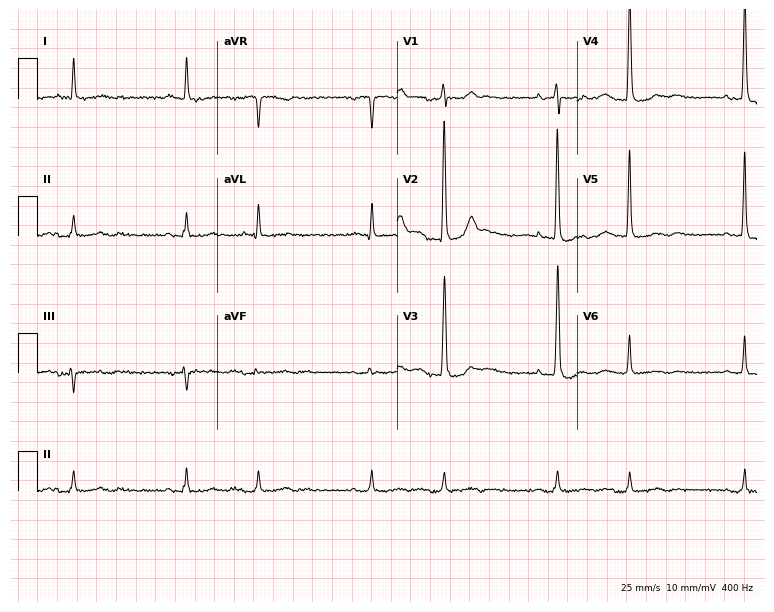
12-lead ECG from a man, 83 years old. Screened for six findings — first-degree AV block, right bundle branch block, left bundle branch block, sinus bradycardia, atrial fibrillation, sinus tachycardia — none is recorded. Findings outside these six are not listed.